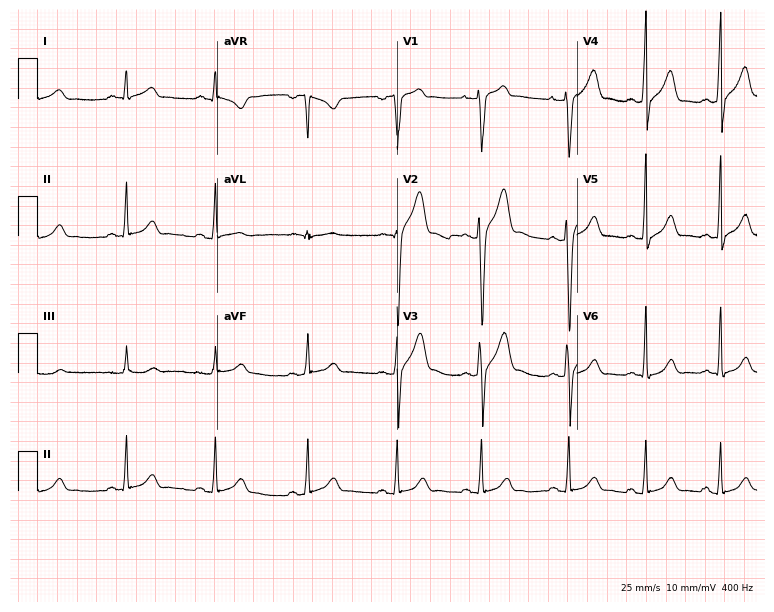
Resting 12-lead electrocardiogram (7.3-second recording at 400 Hz). Patient: a 21-year-old male. Read as a normal ECG.